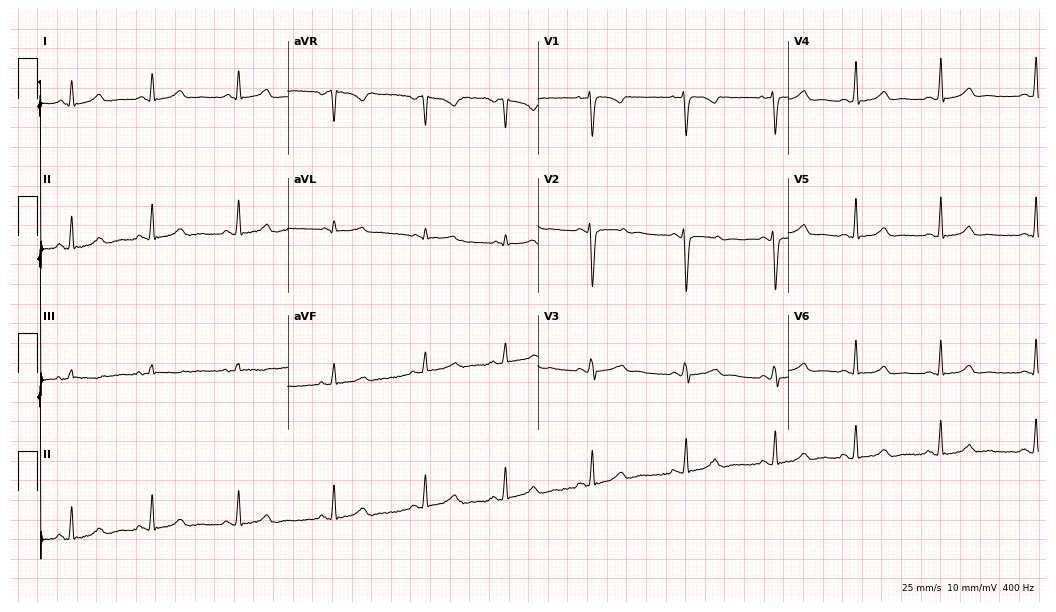
Standard 12-lead ECG recorded from a female, 19 years old (10.2-second recording at 400 Hz). None of these six findings is recorded: first-degree AV block, right bundle branch block (RBBB), left bundle branch block (LBBB), sinus bradycardia, atrial fibrillation (AF), sinus tachycardia. Findings outside these six are not listed.